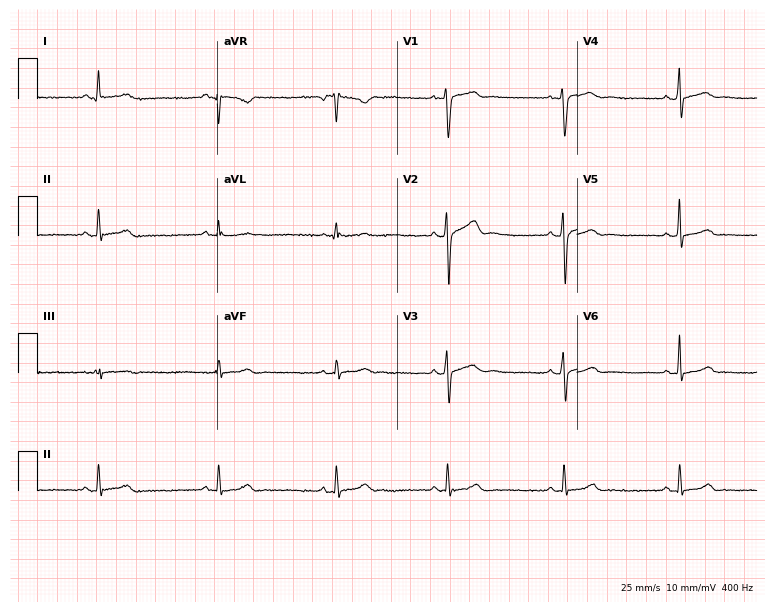
ECG — a man, 19 years old. Labelled as a normal ECG.